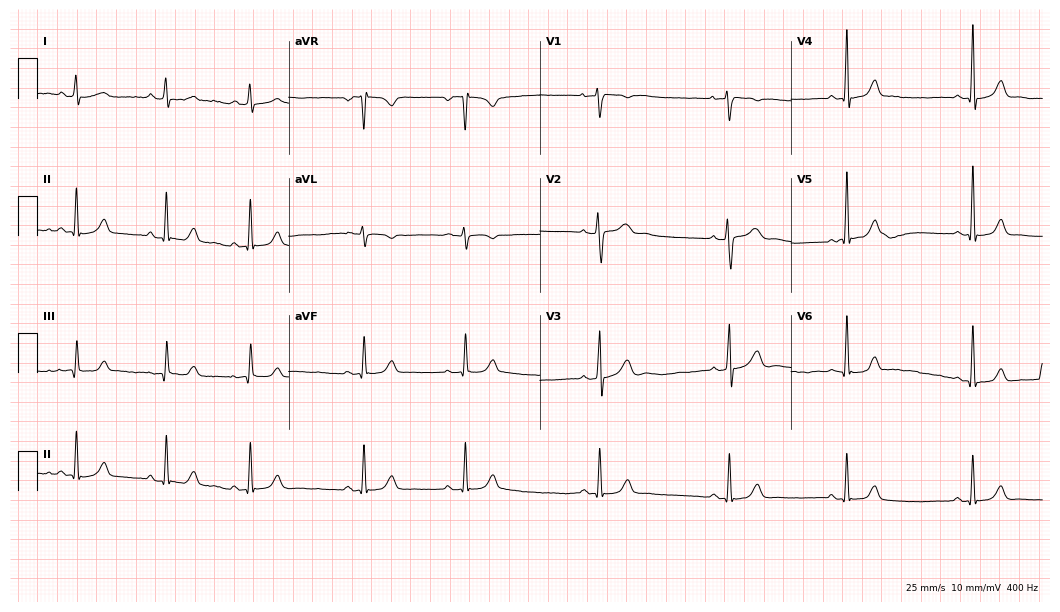
12-lead ECG from a female patient, 27 years old. Labelled as a normal ECG.